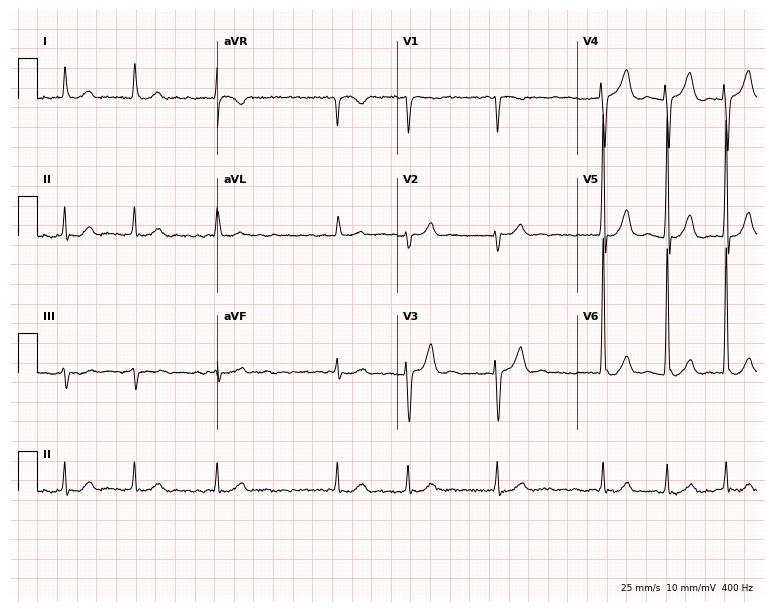
Standard 12-lead ECG recorded from a man, 74 years old. The tracing shows atrial fibrillation (AF).